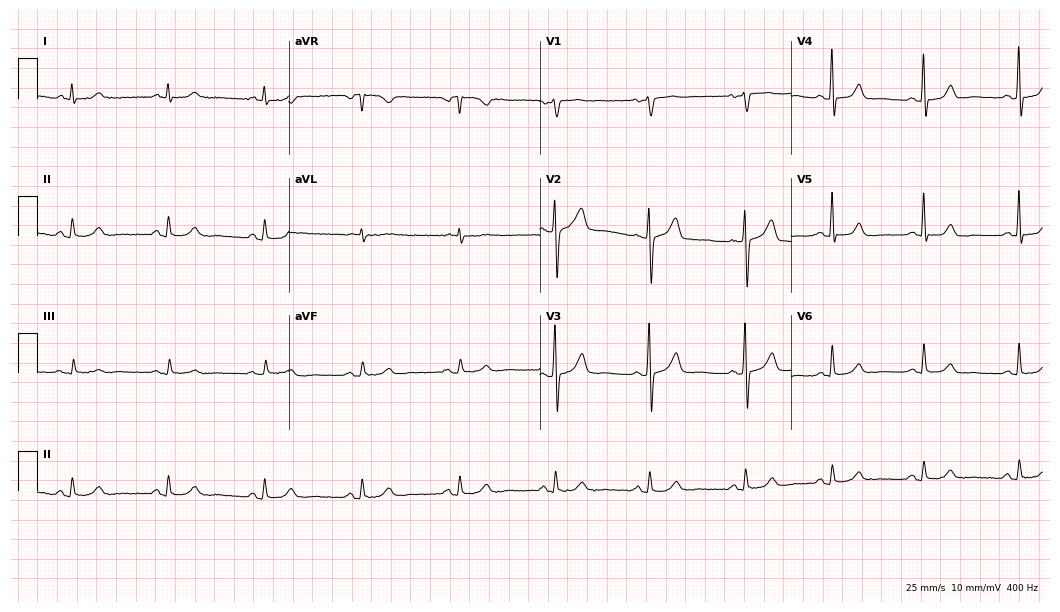
Standard 12-lead ECG recorded from a 63-year-old male patient. Read as a normal ECG.